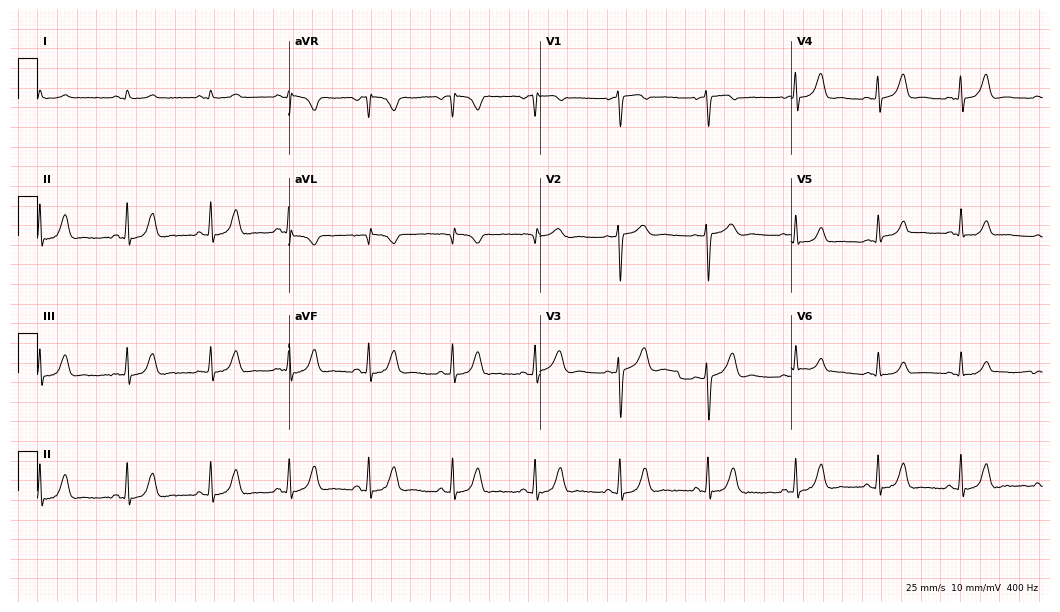
12-lead ECG from a female patient, 23 years old. Labelled as a normal ECG.